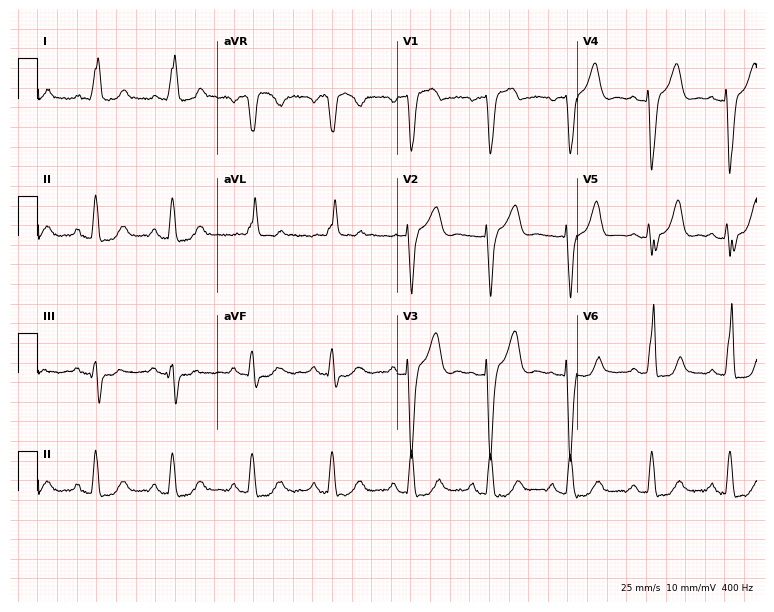
ECG — a female, 58 years old. Findings include left bundle branch block.